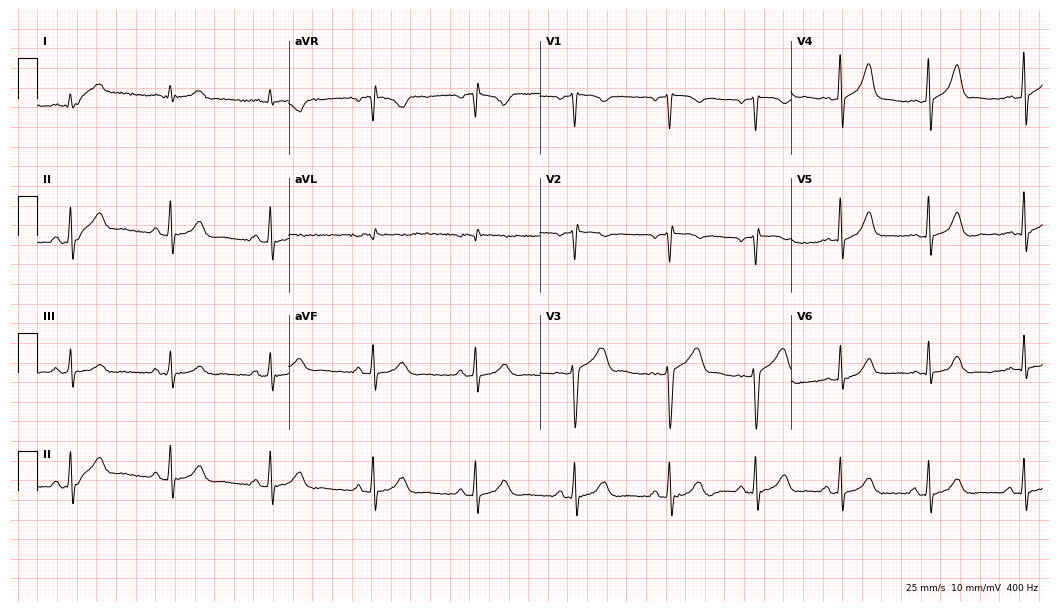
Electrocardiogram (10.2-second recording at 400 Hz), a male patient, 42 years old. Overall reading on record: normal ECG.